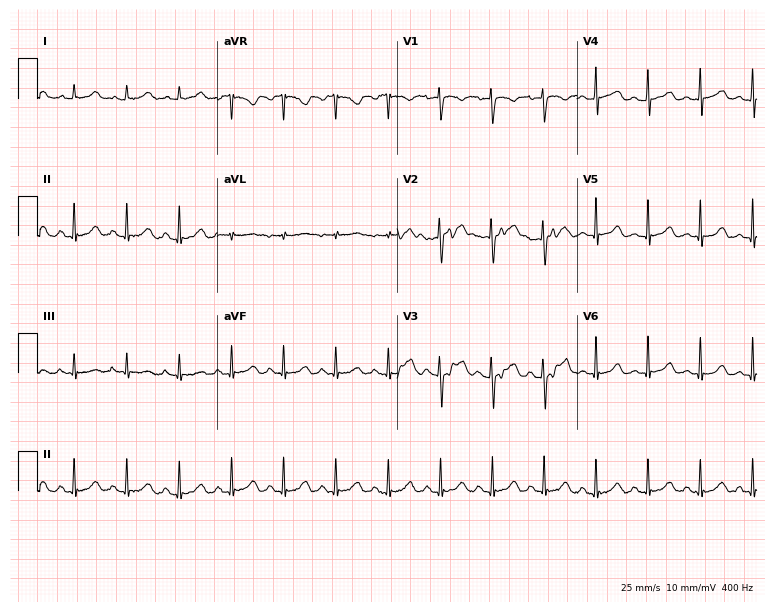
ECG — a 29-year-old female patient. Findings include sinus tachycardia (a sinus rate of 100 beats per minute or more).